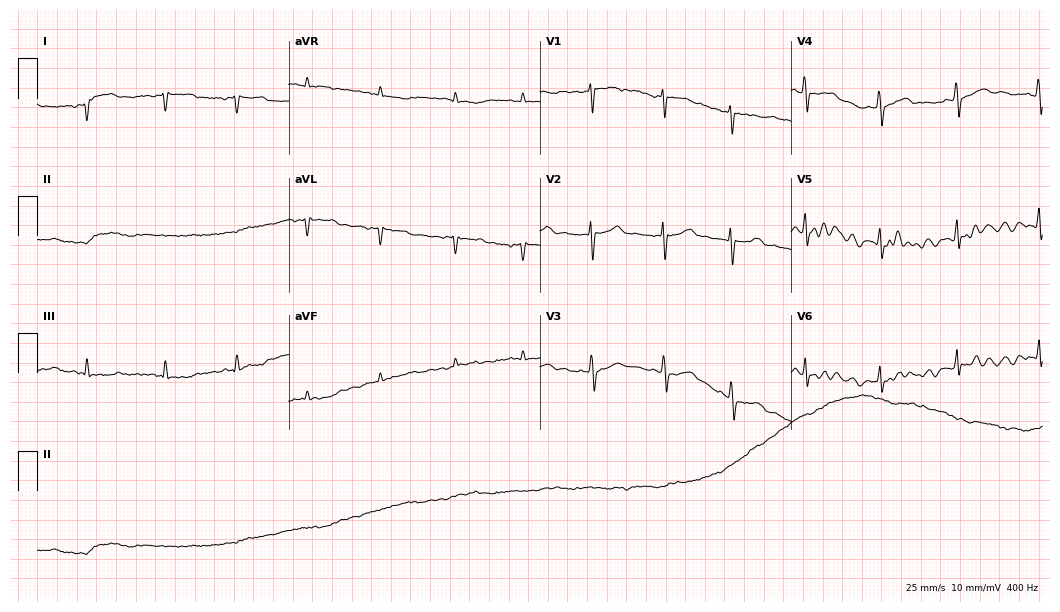
Resting 12-lead electrocardiogram. Patient: a female, 28 years old. None of these six findings is recorded: first-degree AV block, right bundle branch block, left bundle branch block, sinus bradycardia, atrial fibrillation, sinus tachycardia. Findings outside these six are not listed.